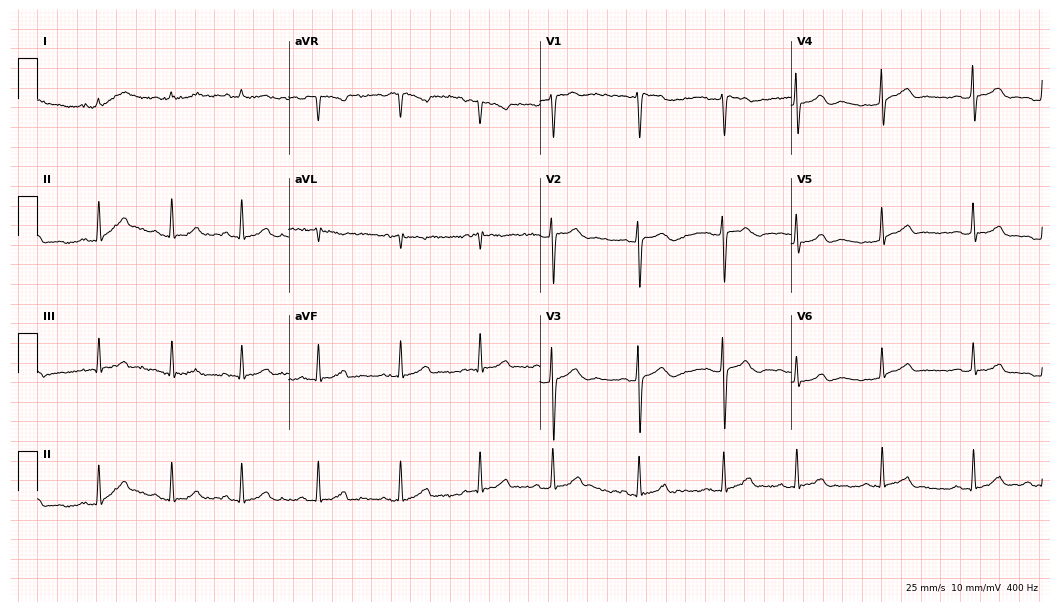
ECG (10.2-second recording at 400 Hz) — a female, 17 years old. Screened for six findings — first-degree AV block, right bundle branch block, left bundle branch block, sinus bradycardia, atrial fibrillation, sinus tachycardia — none is recorded. Other findings, if any, are not listed.